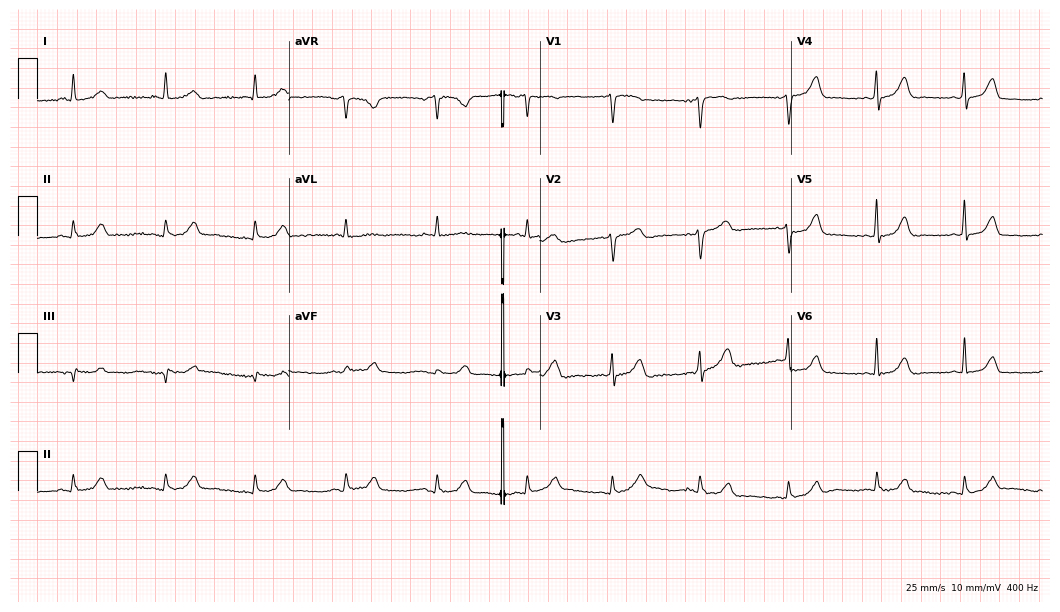
Standard 12-lead ECG recorded from a female patient, 72 years old. Read as a normal ECG.